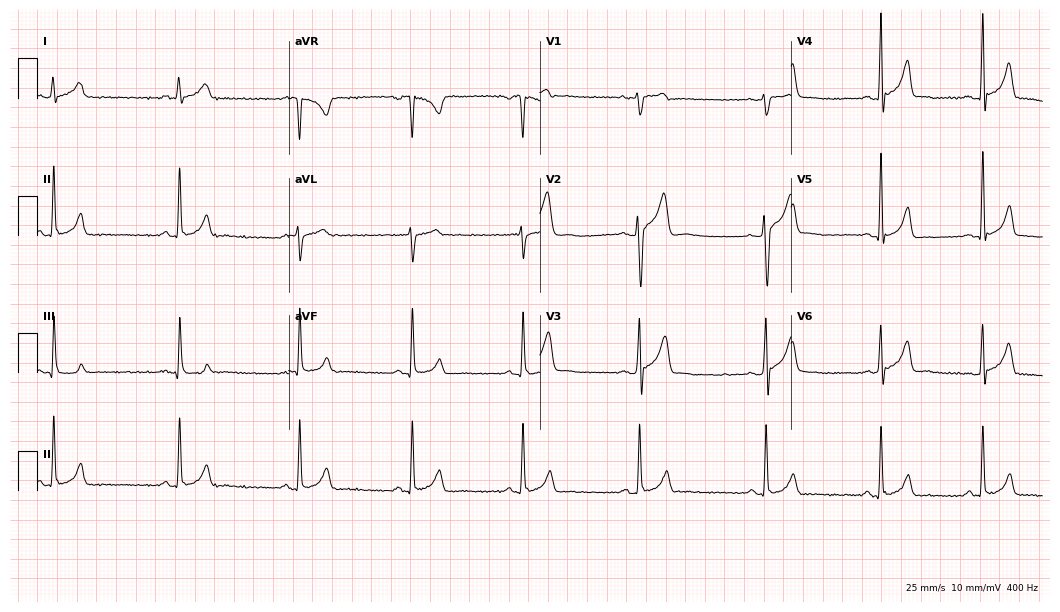
ECG (10.2-second recording at 400 Hz) — a male, 22 years old. Labelled as a normal ECG.